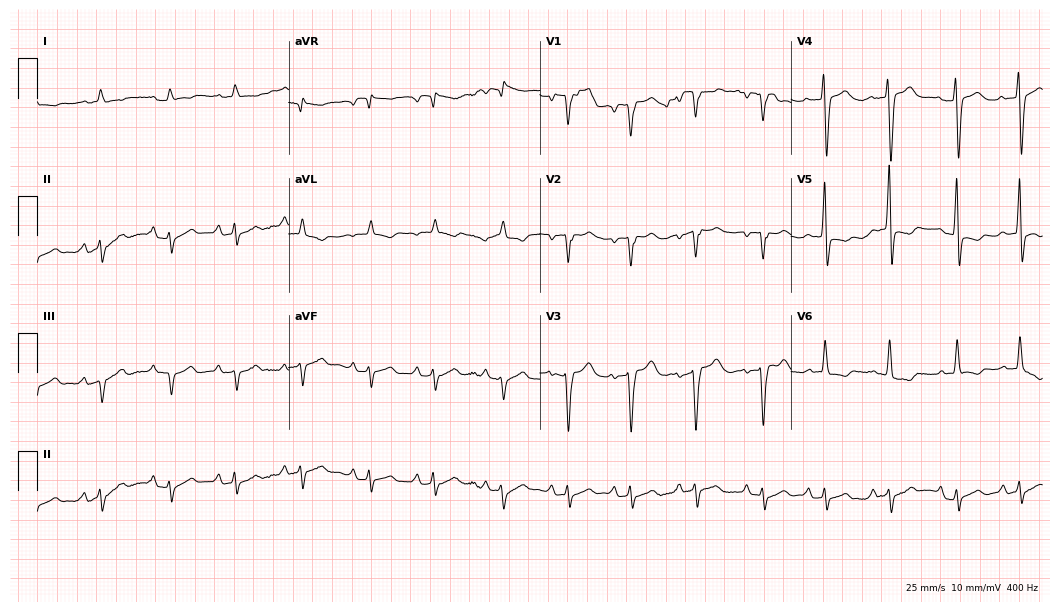
Resting 12-lead electrocardiogram. Patient: a man, 83 years old. None of these six findings is recorded: first-degree AV block, right bundle branch block (RBBB), left bundle branch block (LBBB), sinus bradycardia, atrial fibrillation (AF), sinus tachycardia.